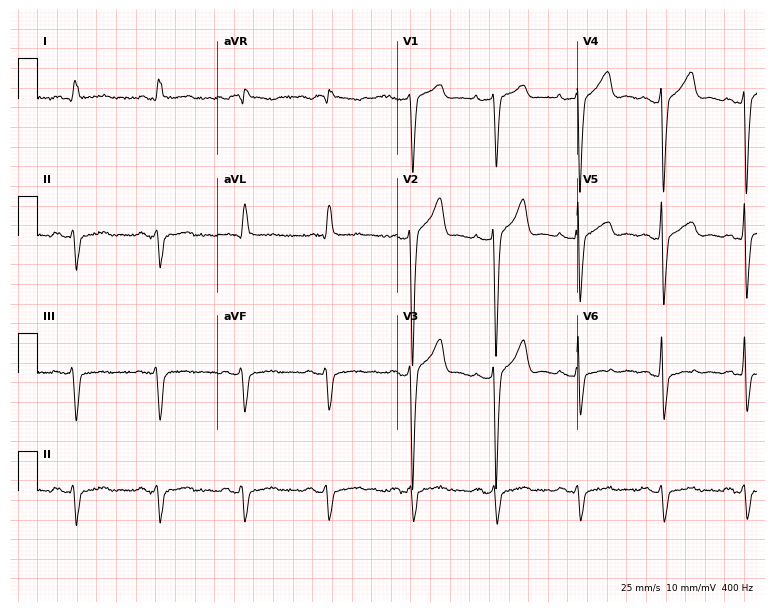
12-lead ECG (7.3-second recording at 400 Hz) from a 67-year-old woman. Screened for six findings — first-degree AV block, right bundle branch block (RBBB), left bundle branch block (LBBB), sinus bradycardia, atrial fibrillation (AF), sinus tachycardia — none is recorded. Other findings, if any, are not listed.